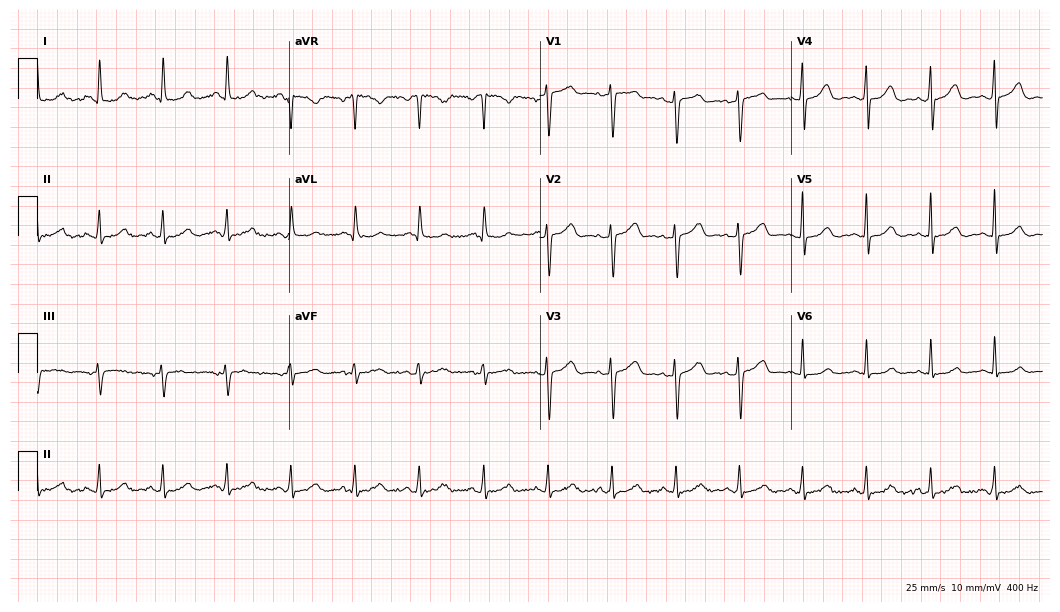
ECG (10.2-second recording at 400 Hz) — a 46-year-old woman. Labelled as a normal ECG.